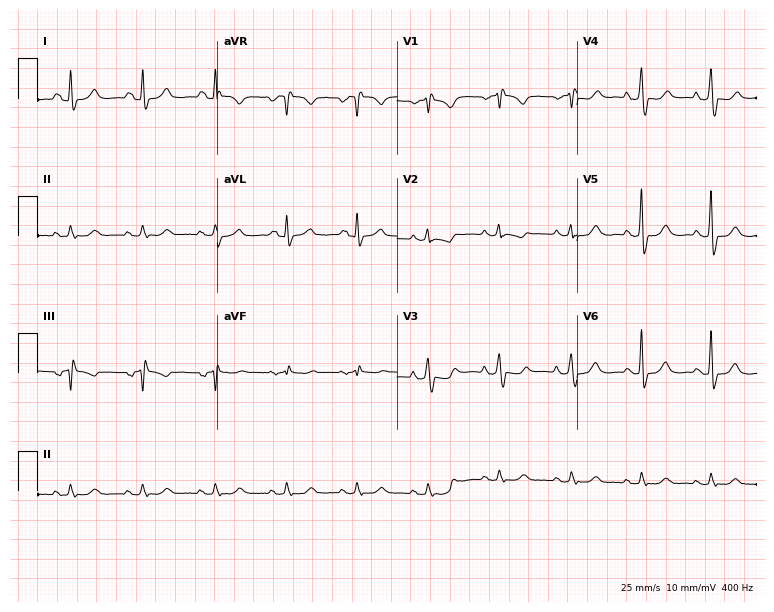
Electrocardiogram, a man, 72 years old. Of the six screened findings (first-degree AV block, right bundle branch block, left bundle branch block, sinus bradycardia, atrial fibrillation, sinus tachycardia), none is recorded.